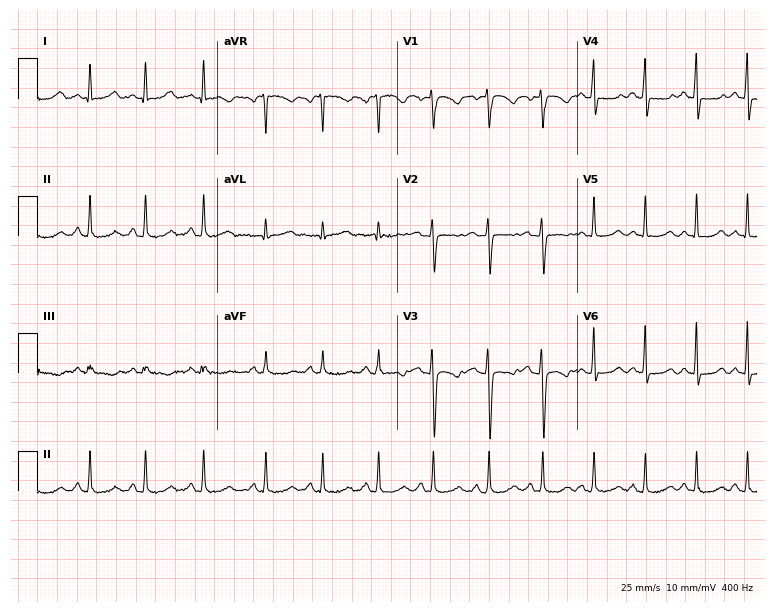
ECG (7.3-second recording at 400 Hz) — a 31-year-old woman. Findings include sinus tachycardia (a sinus rate of 100 beats per minute or more).